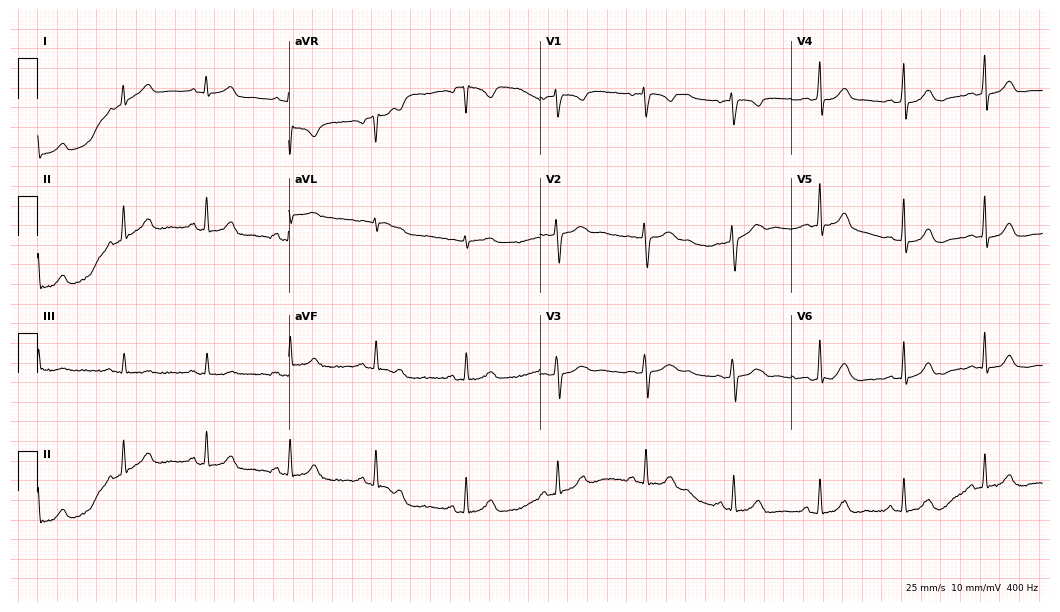
Electrocardiogram, a 30-year-old female. Overall reading on record: normal ECG.